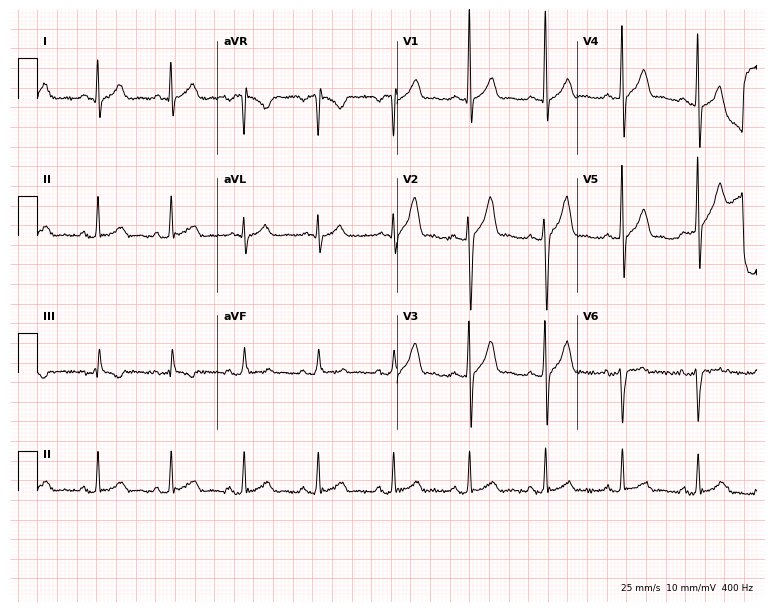
12-lead ECG from a 30-year-old man. No first-degree AV block, right bundle branch block (RBBB), left bundle branch block (LBBB), sinus bradycardia, atrial fibrillation (AF) or sinus tachycardia recorded for this tracing.